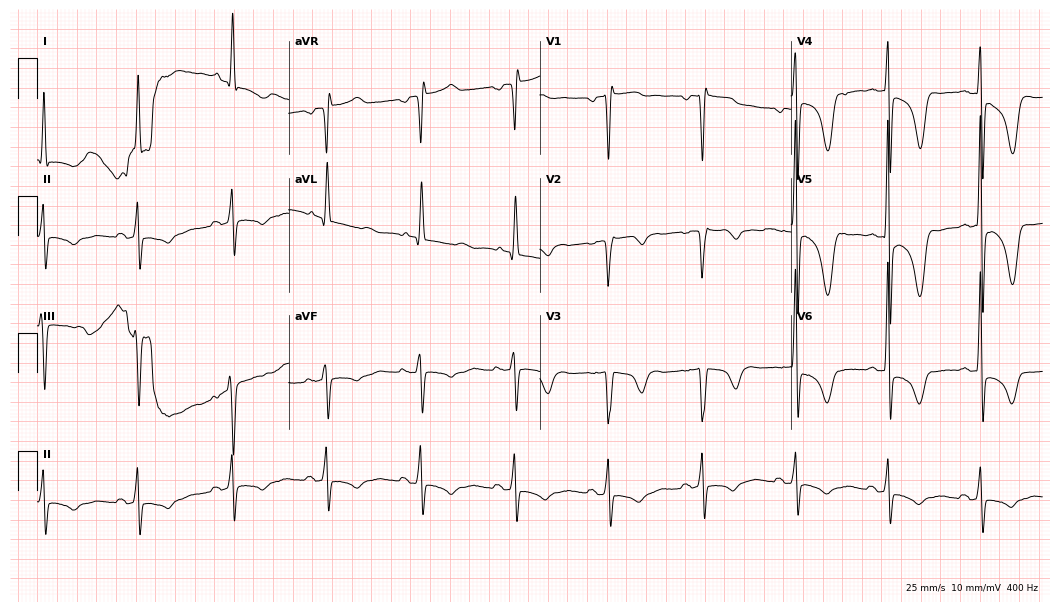
12-lead ECG (10.2-second recording at 400 Hz) from a woman, 50 years old. Screened for six findings — first-degree AV block, right bundle branch block, left bundle branch block, sinus bradycardia, atrial fibrillation, sinus tachycardia — none is recorded. Only these six findings were labelled.